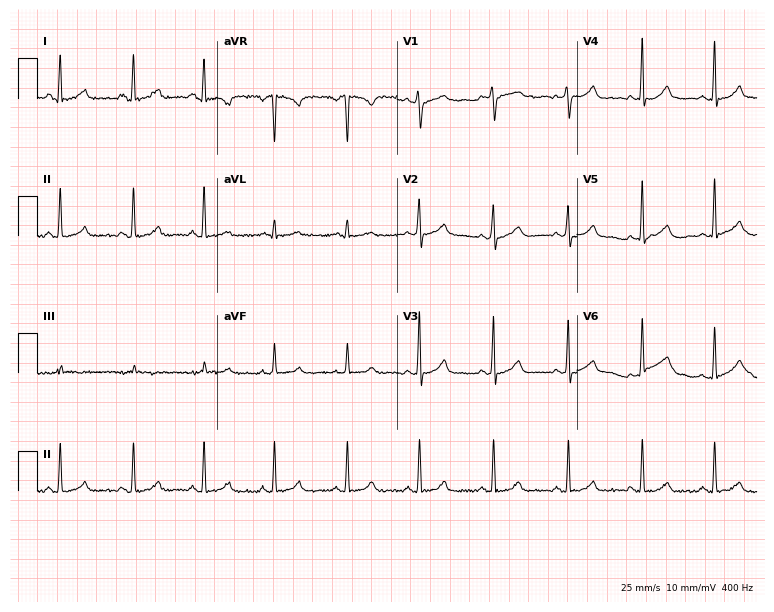
Standard 12-lead ECG recorded from a 35-year-old female. Read as a normal ECG.